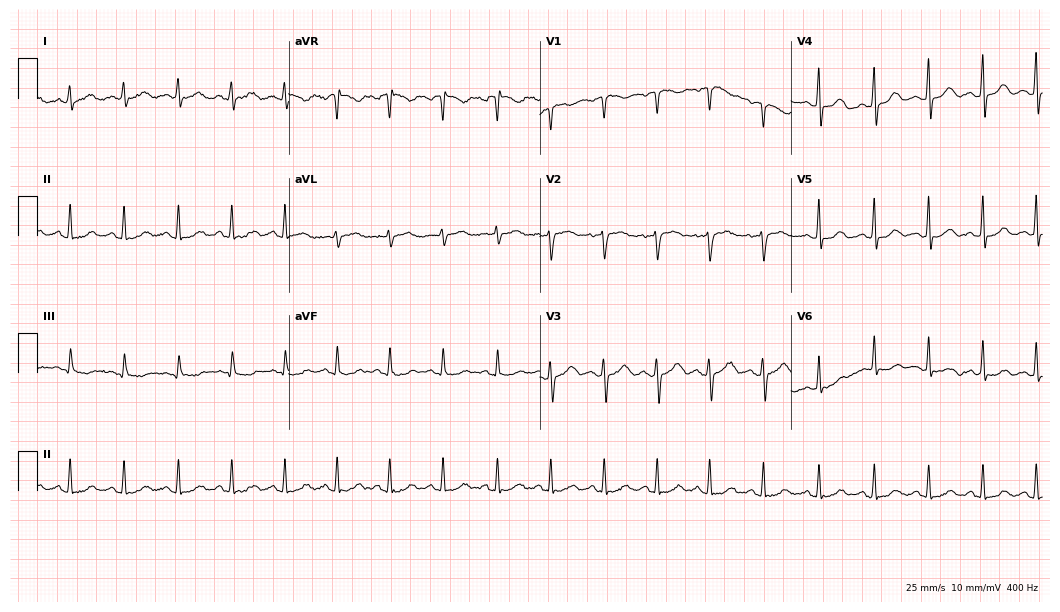
Electrocardiogram (10.2-second recording at 400 Hz), a female patient, 35 years old. Interpretation includes sinus tachycardia (a sinus rate of 100 beats per minute or more).